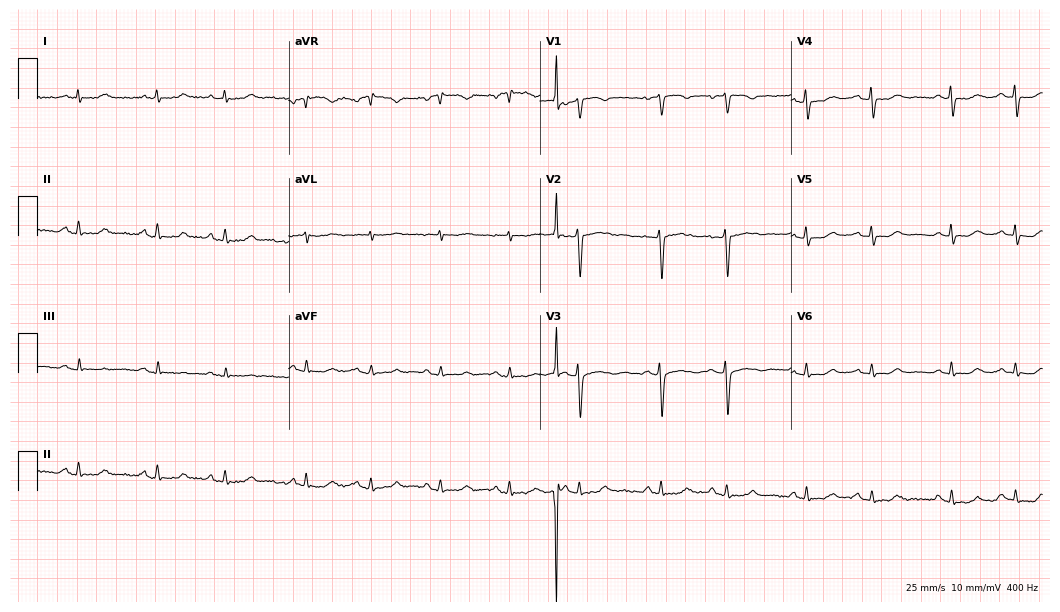
12-lead ECG from a woman, 43 years old (10.2-second recording at 400 Hz). Recorded interpretation: within normal limits.